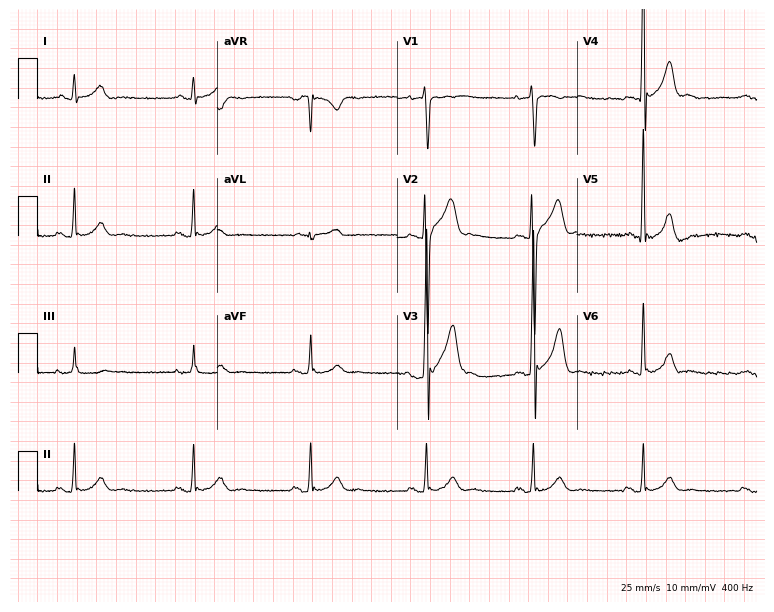
Standard 12-lead ECG recorded from a 47-year-old female (7.3-second recording at 400 Hz). None of these six findings is recorded: first-degree AV block, right bundle branch block, left bundle branch block, sinus bradycardia, atrial fibrillation, sinus tachycardia.